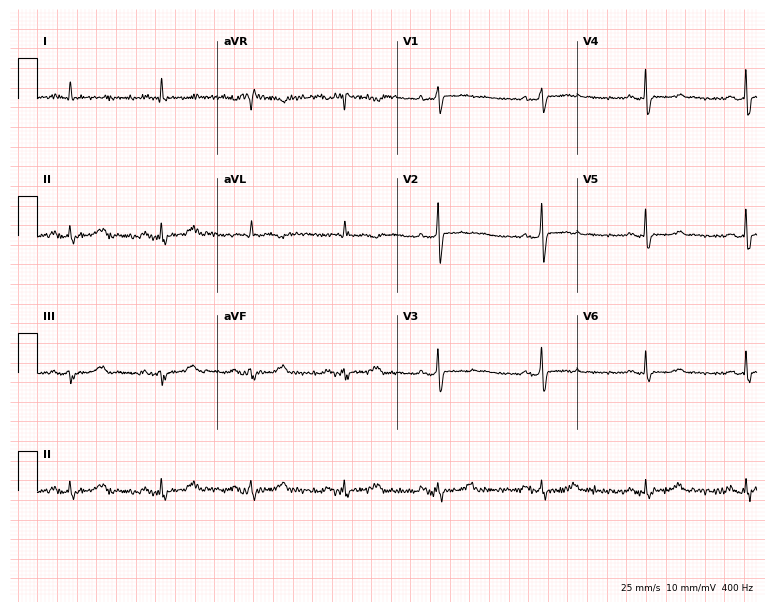
Resting 12-lead electrocardiogram. Patient: a female, 64 years old. None of these six findings is recorded: first-degree AV block, right bundle branch block, left bundle branch block, sinus bradycardia, atrial fibrillation, sinus tachycardia.